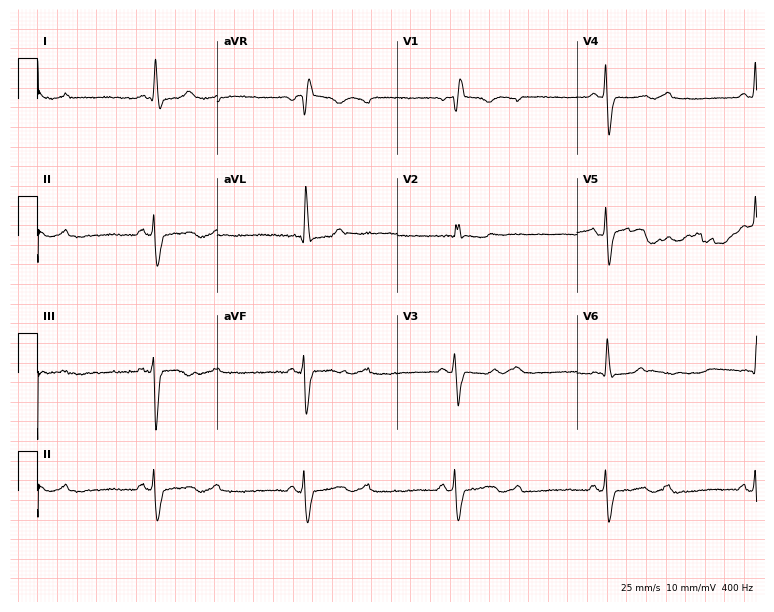
Electrocardiogram (7.3-second recording at 400 Hz), a woman, 65 years old. Of the six screened findings (first-degree AV block, right bundle branch block, left bundle branch block, sinus bradycardia, atrial fibrillation, sinus tachycardia), none is recorded. Findings outside these six are not listed.